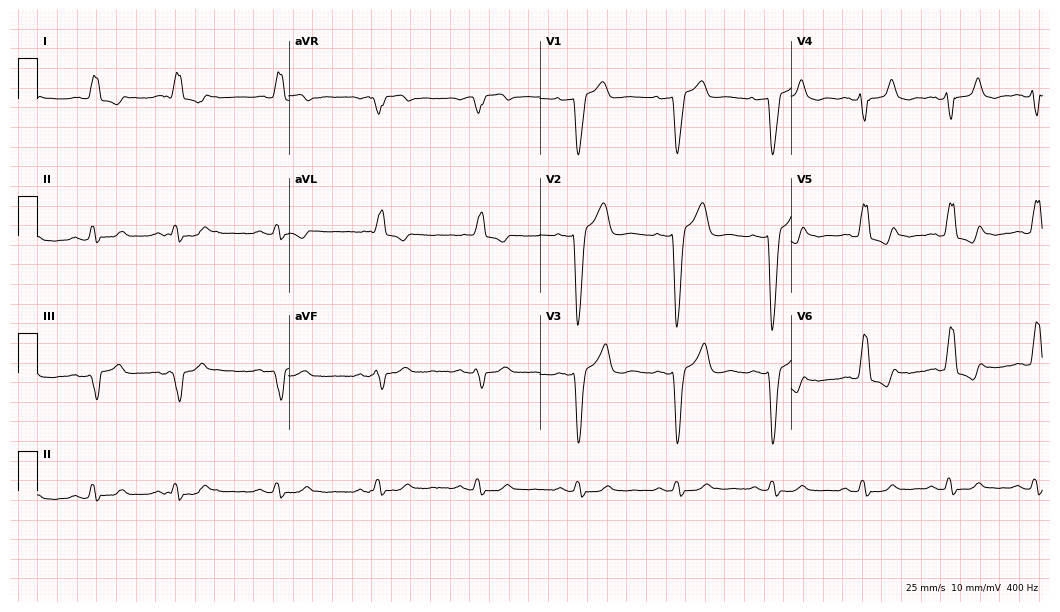
12-lead ECG (10.2-second recording at 400 Hz) from a 71-year-old male patient. Findings include left bundle branch block.